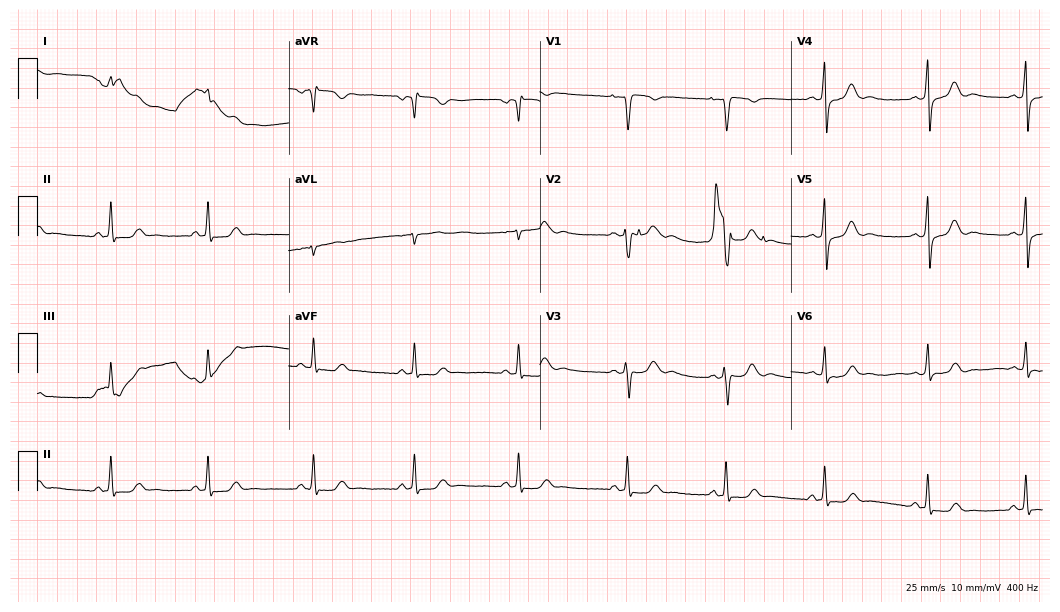
ECG — a 20-year-old female patient. Screened for six findings — first-degree AV block, right bundle branch block (RBBB), left bundle branch block (LBBB), sinus bradycardia, atrial fibrillation (AF), sinus tachycardia — none is recorded.